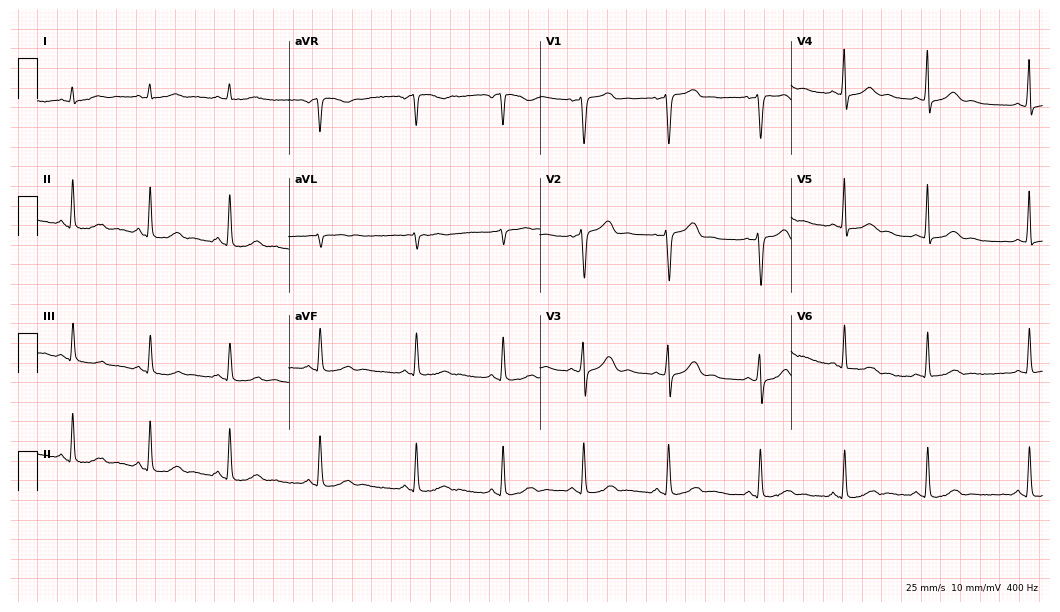
Electrocardiogram (10.2-second recording at 400 Hz), a 46-year-old woman. Overall reading on record: normal ECG.